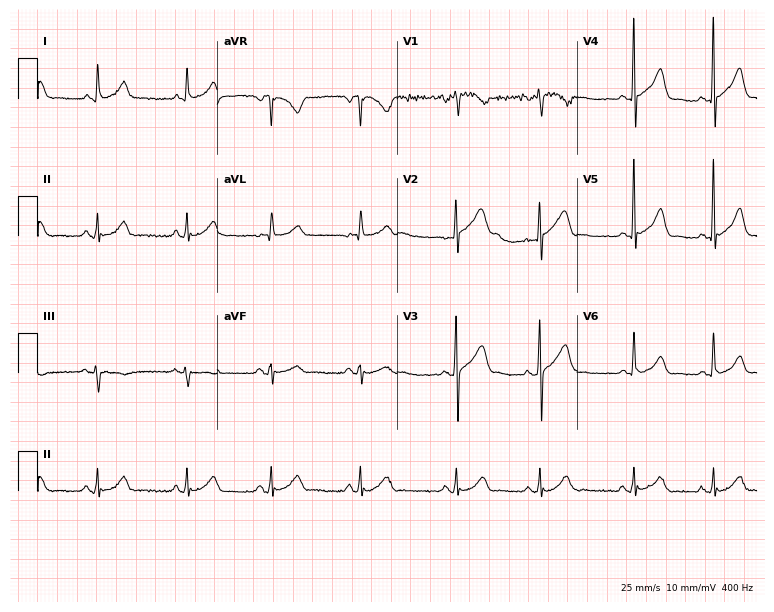
Resting 12-lead electrocardiogram (7.3-second recording at 400 Hz). Patient: a man, 76 years old. Read as a normal ECG.